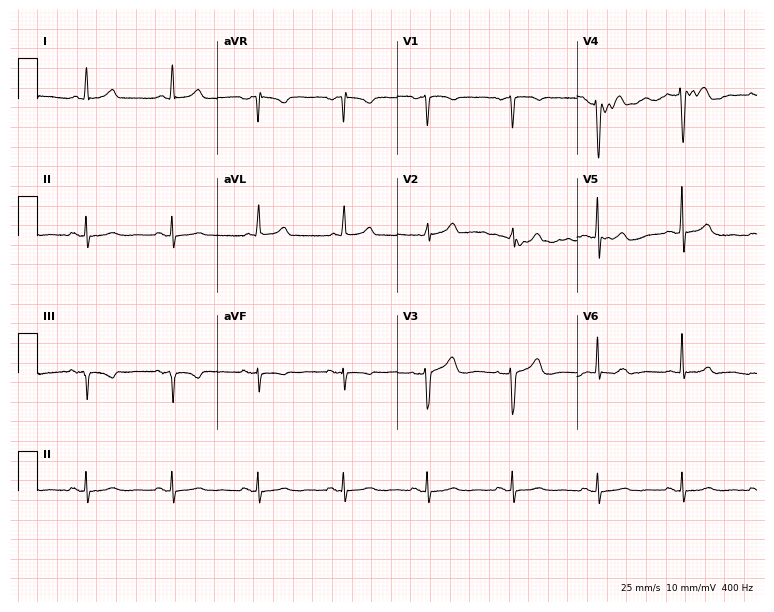
12-lead ECG from a 55-year-old female patient. No first-degree AV block, right bundle branch block (RBBB), left bundle branch block (LBBB), sinus bradycardia, atrial fibrillation (AF) or sinus tachycardia recorded for this tracing. Only these six findings were labelled.